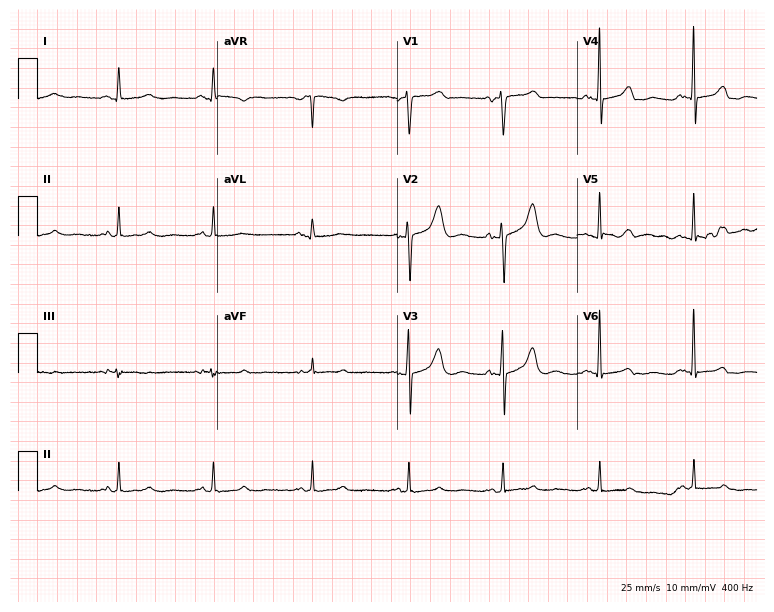
12-lead ECG from a 64-year-old woman. Screened for six findings — first-degree AV block, right bundle branch block, left bundle branch block, sinus bradycardia, atrial fibrillation, sinus tachycardia — none is recorded.